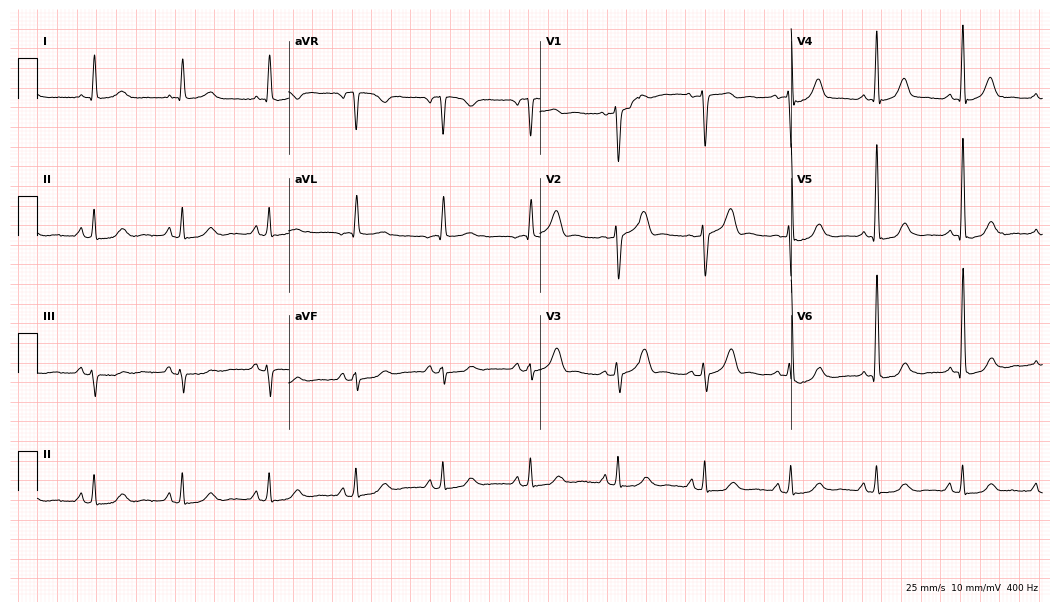
Standard 12-lead ECG recorded from an 80-year-old male (10.2-second recording at 400 Hz). None of these six findings is recorded: first-degree AV block, right bundle branch block, left bundle branch block, sinus bradycardia, atrial fibrillation, sinus tachycardia. Only these six findings were labelled.